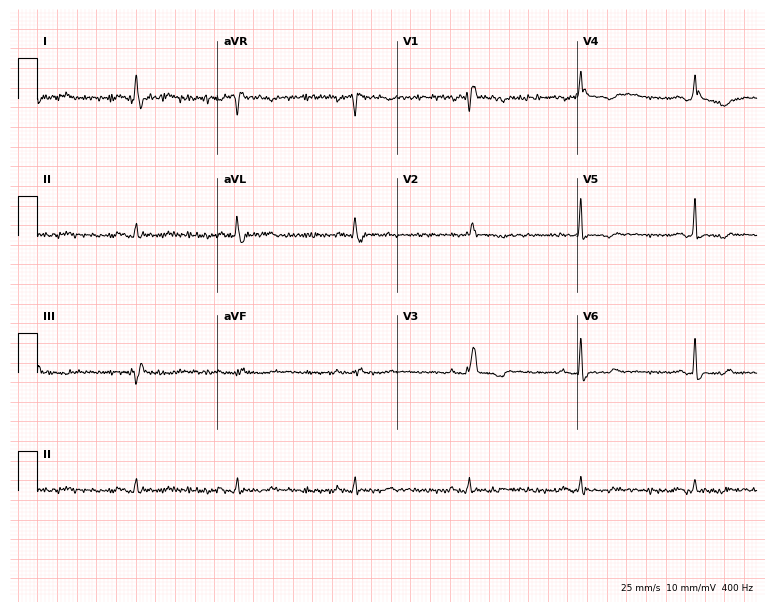
12-lead ECG from a woman, 62 years old (7.3-second recording at 400 Hz). Shows right bundle branch block.